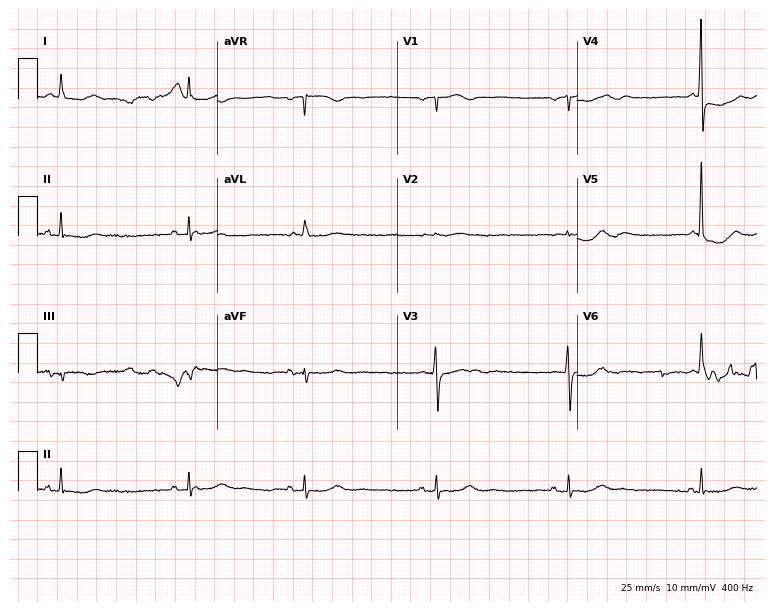
Resting 12-lead electrocardiogram (7.3-second recording at 400 Hz). Patient: a 67-year-old woman. None of these six findings is recorded: first-degree AV block, right bundle branch block, left bundle branch block, sinus bradycardia, atrial fibrillation, sinus tachycardia.